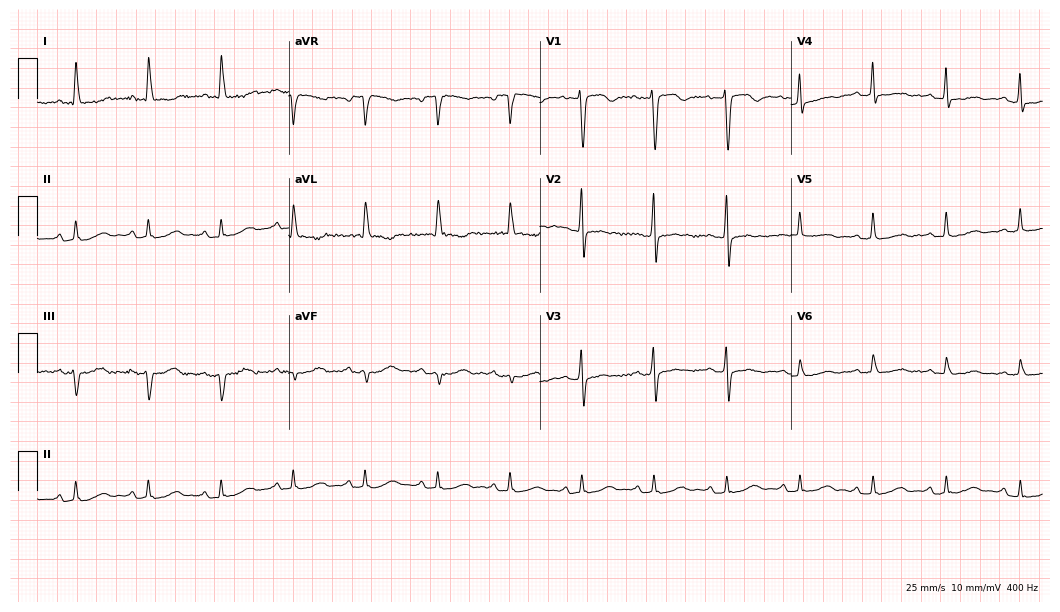
Electrocardiogram (10.2-second recording at 400 Hz), a woman, 74 years old. Of the six screened findings (first-degree AV block, right bundle branch block (RBBB), left bundle branch block (LBBB), sinus bradycardia, atrial fibrillation (AF), sinus tachycardia), none is recorded. Findings outside these six are not listed.